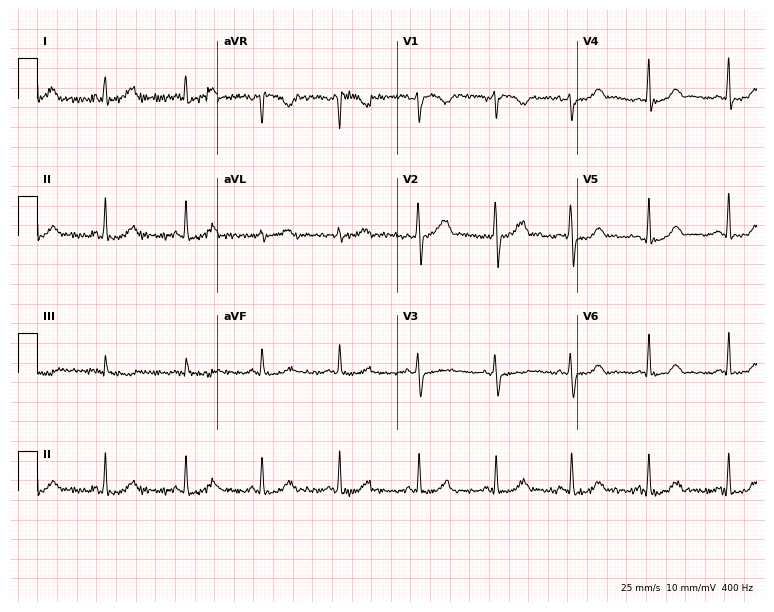
Standard 12-lead ECG recorded from a woman, 32 years old. Read as a normal ECG.